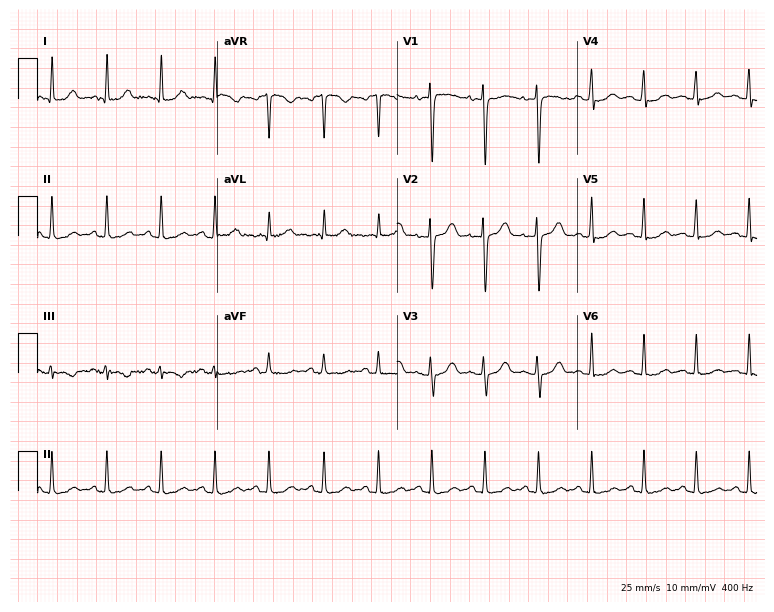
12-lead ECG from a female patient, 21 years old. Findings include sinus tachycardia (a sinus rate of 100 beats per minute or more).